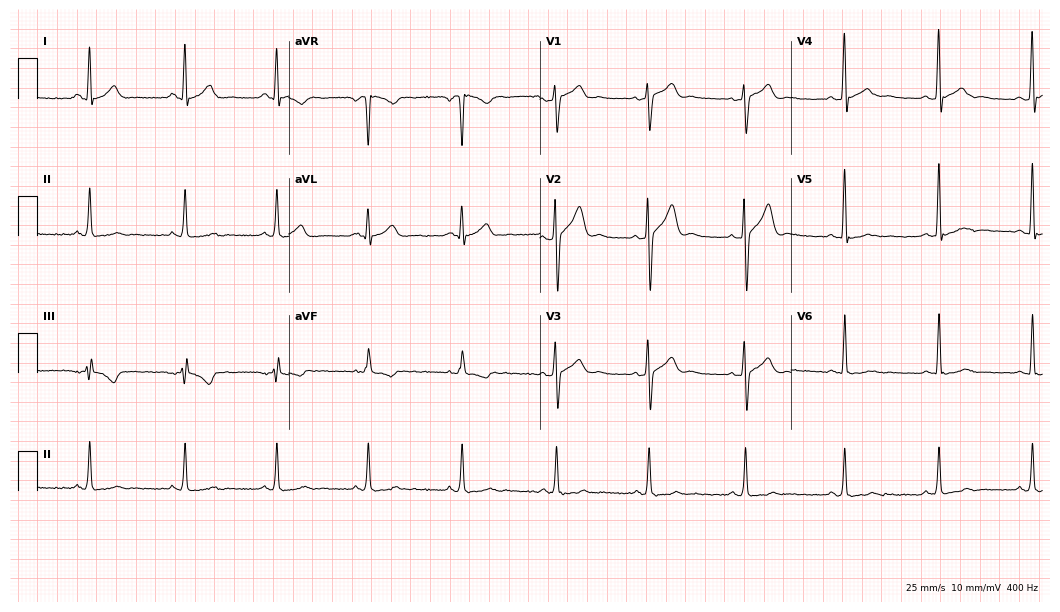
ECG — a 25-year-old man. Screened for six findings — first-degree AV block, right bundle branch block (RBBB), left bundle branch block (LBBB), sinus bradycardia, atrial fibrillation (AF), sinus tachycardia — none is recorded. Other findings, if any, are not listed.